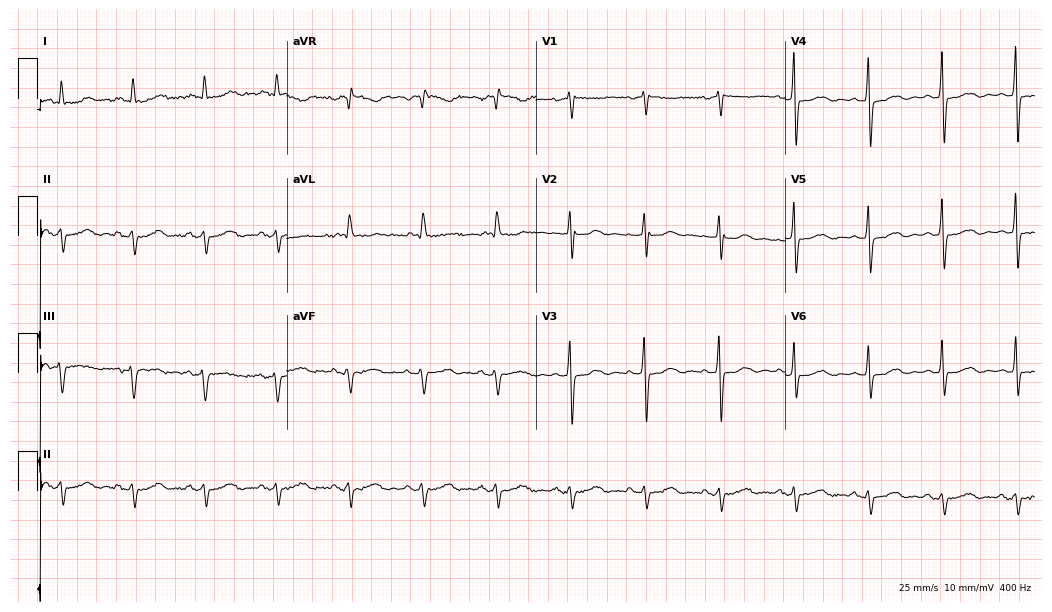
Standard 12-lead ECG recorded from a female patient, 69 years old. None of these six findings is recorded: first-degree AV block, right bundle branch block, left bundle branch block, sinus bradycardia, atrial fibrillation, sinus tachycardia.